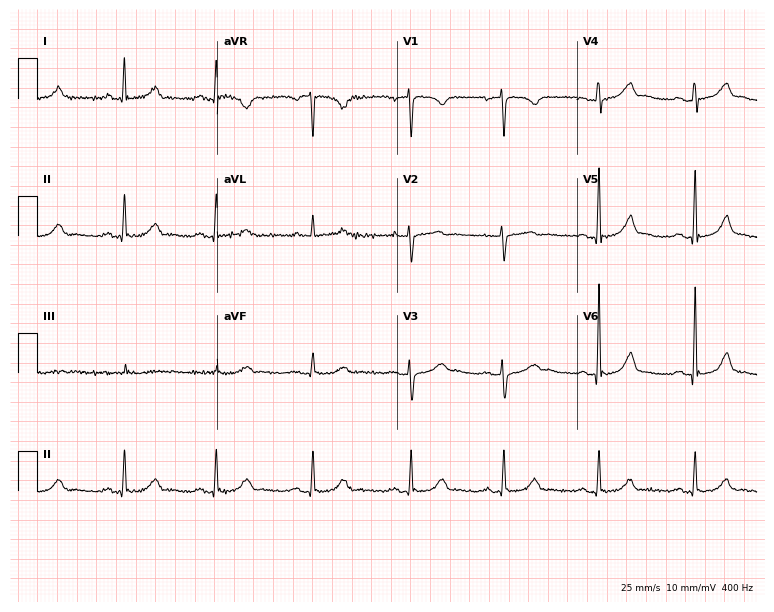
Electrocardiogram, a 52-year-old woman. Overall reading on record: normal ECG.